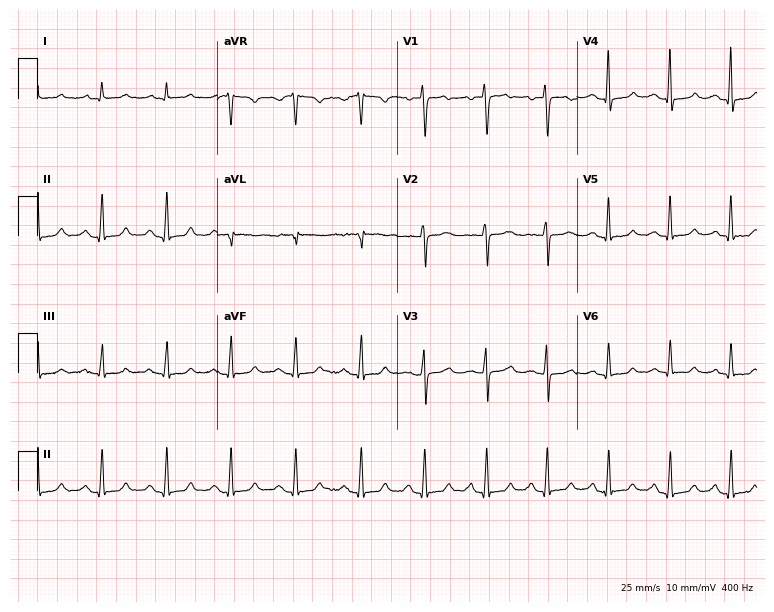
Electrocardiogram, a female patient, 46 years old. Of the six screened findings (first-degree AV block, right bundle branch block, left bundle branch block, sinus bradycardia, atrial fibrillation, sinus tachycardia), none is recorded.